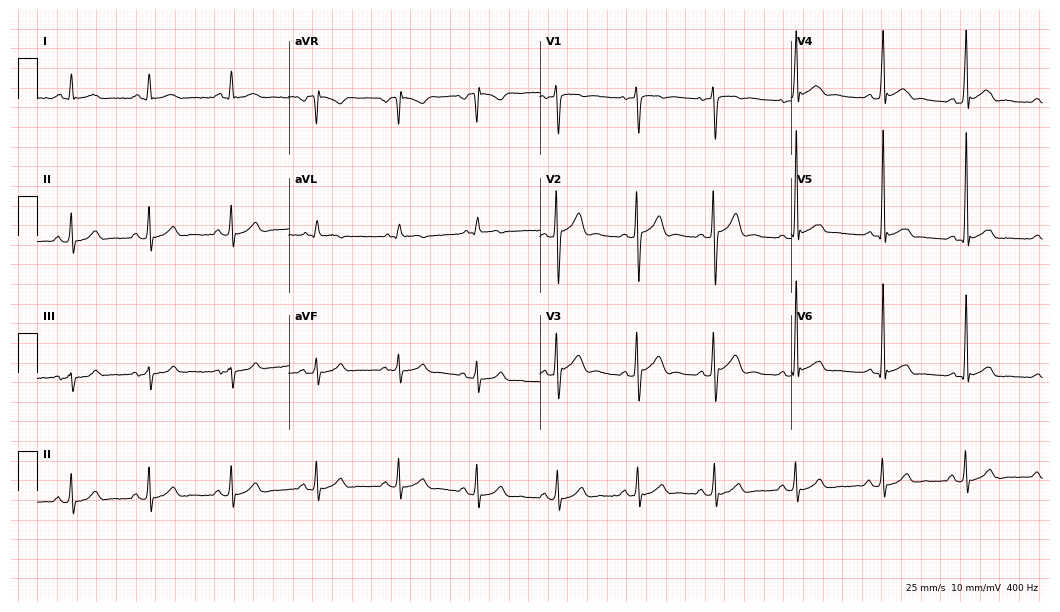
Standard 12-lead ECG recorded from a 25-year-old male patient (10.2-second recording at 400 Hz). None of these six findings is recorded: first-degree AV block, right bundle branch block, left bundle branch block, sinus bradycardia, atrial fibrillation, sinus tachycardia.